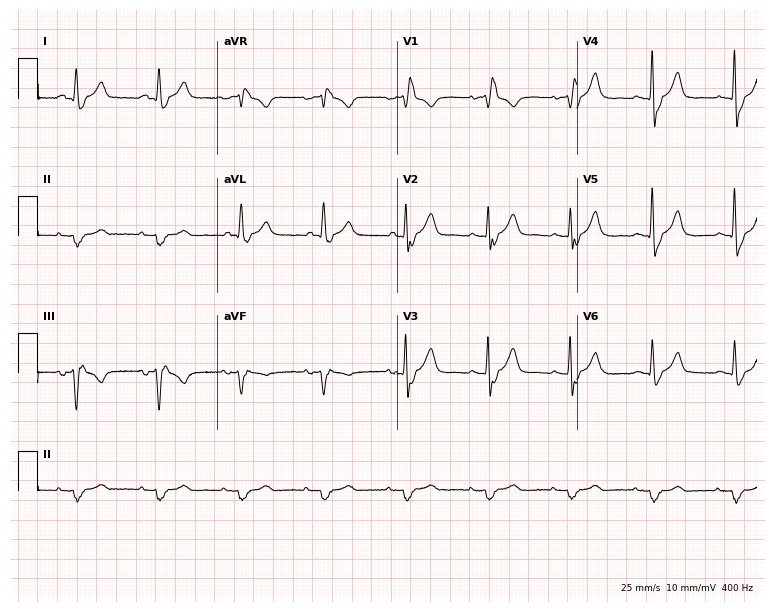
Standard 12-lead ECG recorded from a male, 67 years old. The tracing shows right bundle branch block (RBBB).